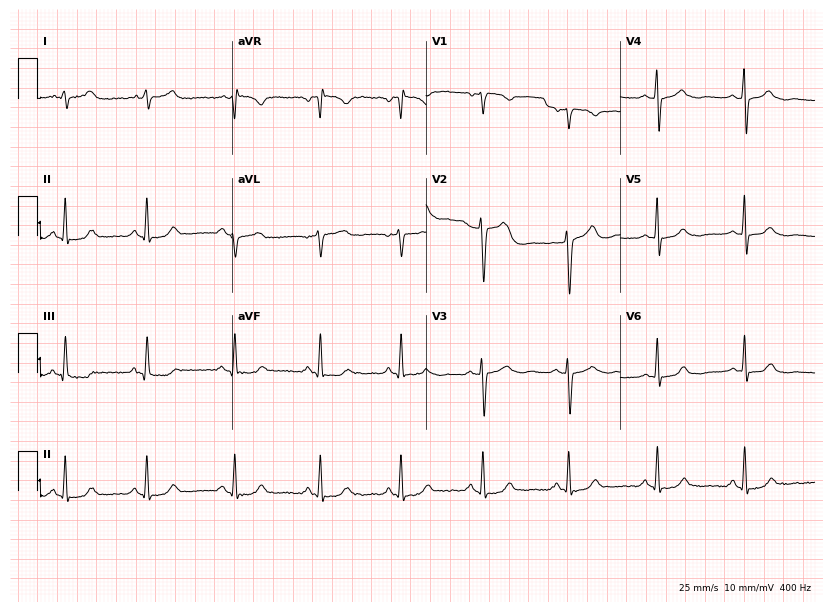
Standard 12-lead ECG recorded from a 37-year-old female (7.9-second recording at 400 Hz). Read as a normal ECG.